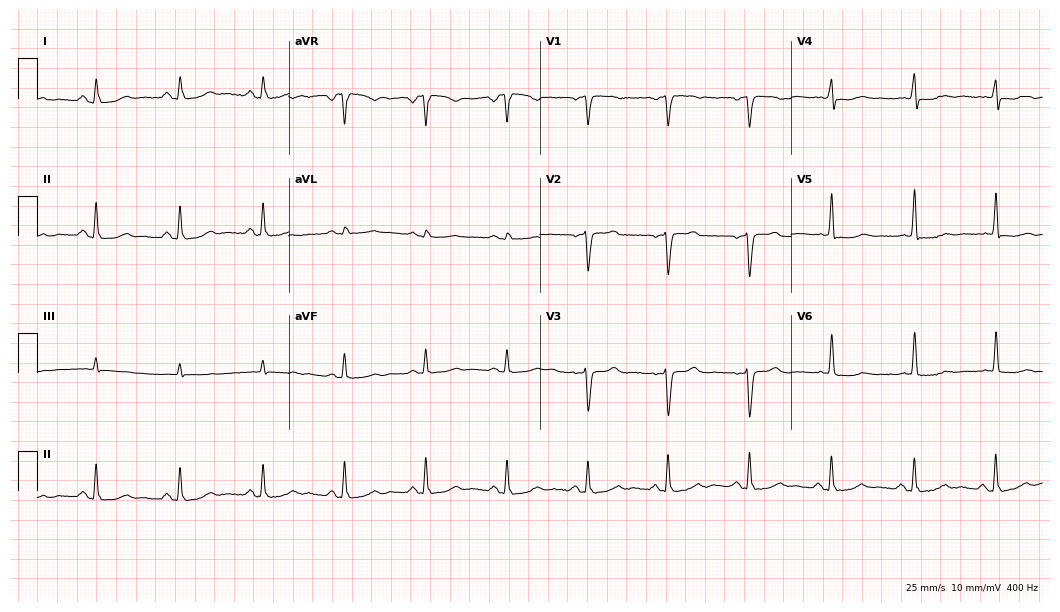
ECG — a male, 74 years old. Labelled as a normal ECG.